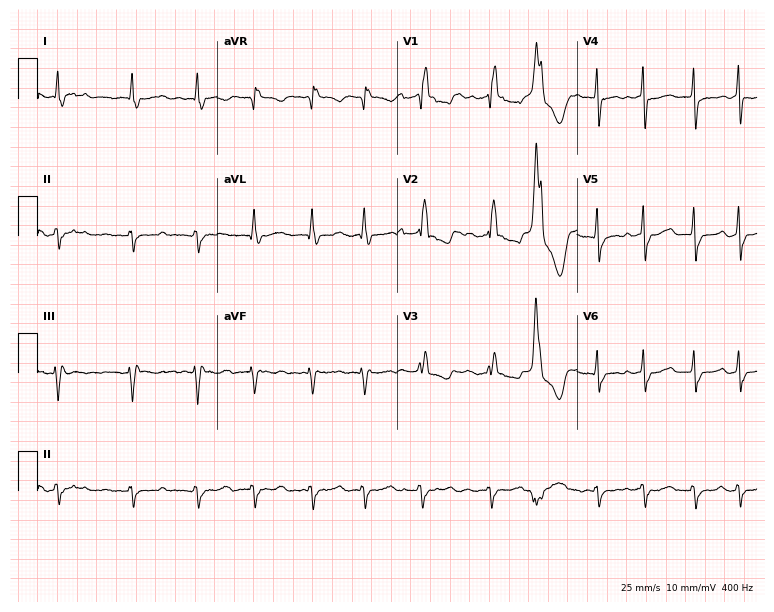
Resting 12-lead electrocardiogram (7.3-second recording at 400 Hz). Patient: a woman, 69 years old. The tracing shows right bundle branch block, atrial fibrillation.